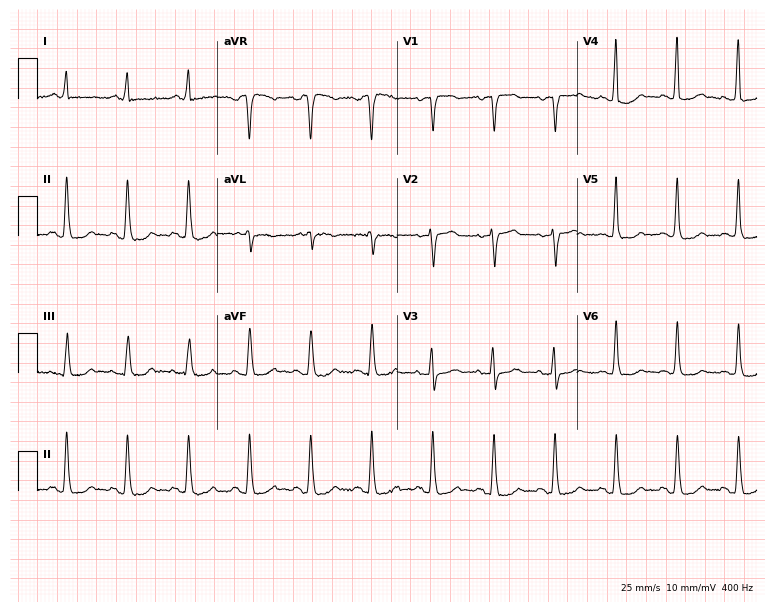
Resting 12-lead electrocardiogram. Patient: a female, 72 years old. Read as a normal ECG.